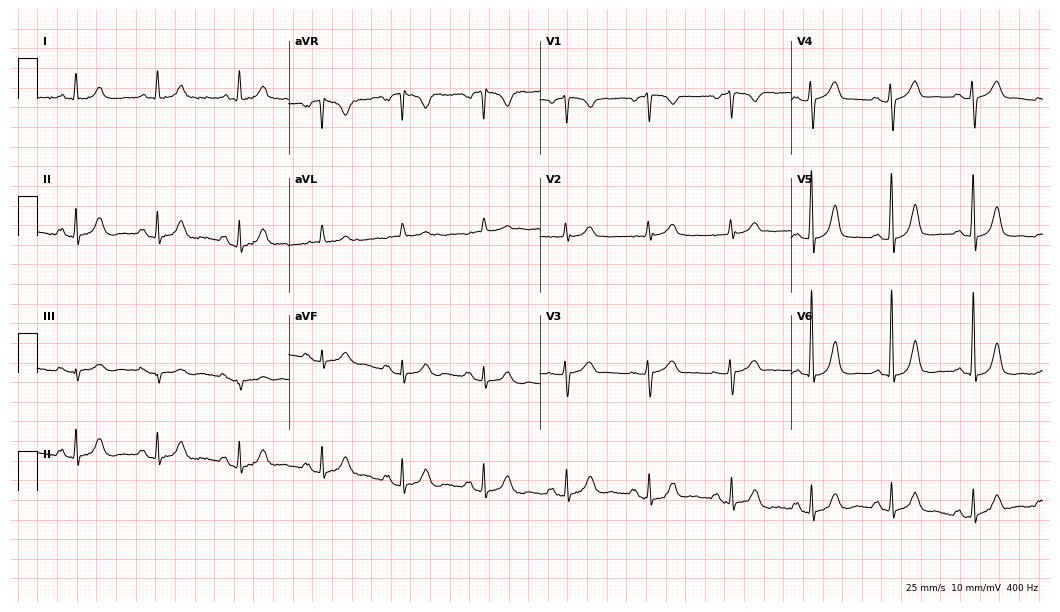
Standard 12-lead ECG recorded from a 75-year-old female patient (10.2-second recording at 400 Hz). Read as a normal ECG.